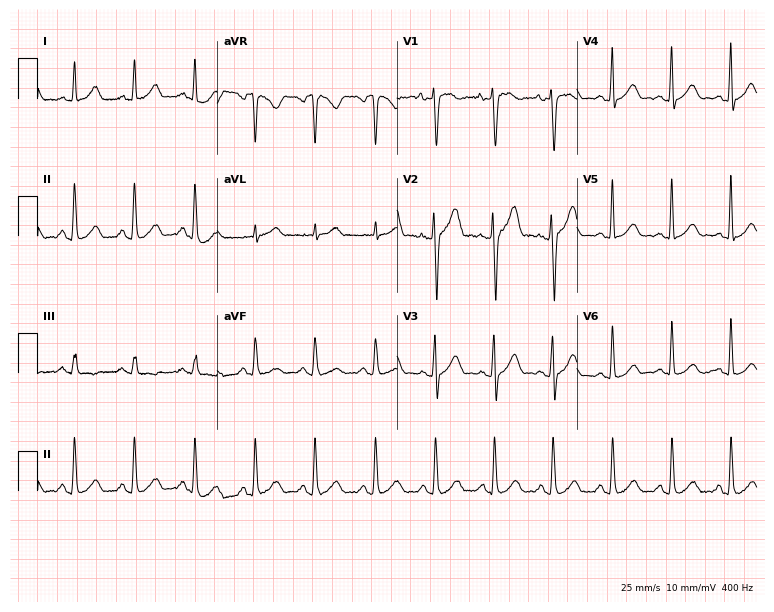
12-lead ECG from a male, 24 years old. No first-degree AV block, right bundle branch block (RBBB), left bundle branch block (LBBB), sinus bradycardia, atrial fibrillation (AF) or sinus tachycardia recorded for this tracing. Only these six findings were labelled.